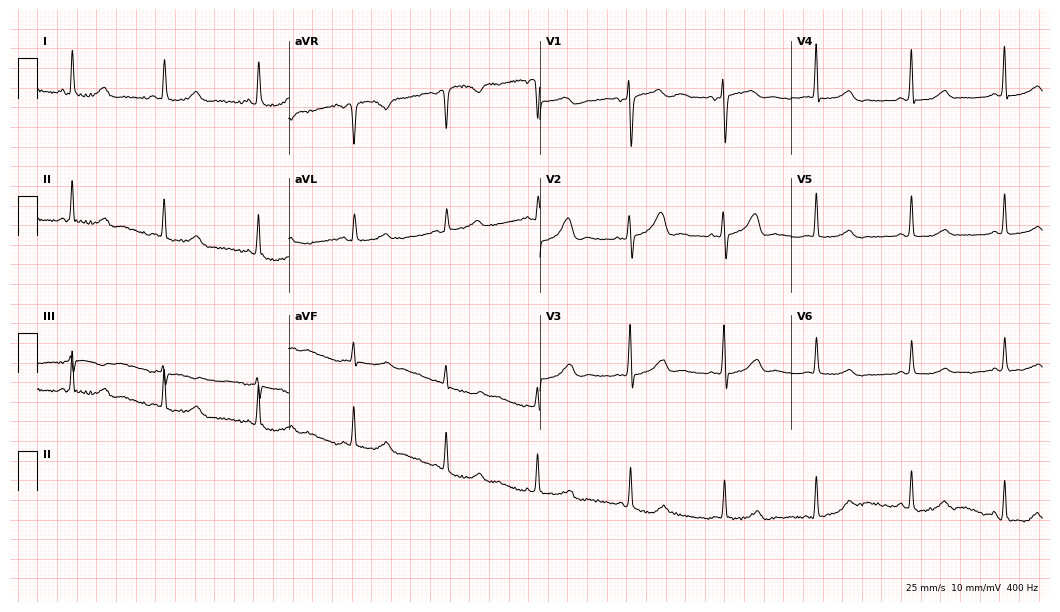
ECG — a 56-year-old female patient. Labelled as a normal ECG.